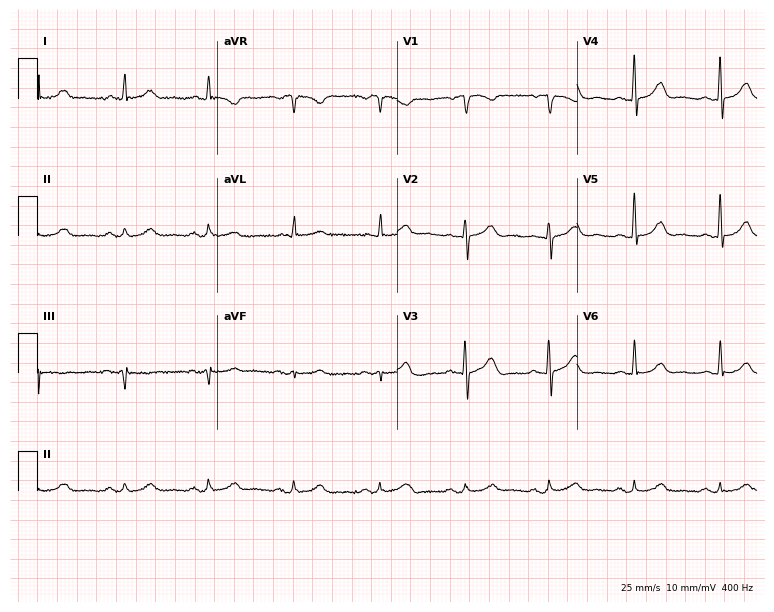
Standard 12-lead ECG recorded from a female patient, 59 years old (7.3-second recording at 400 Hz). Read as a normal ECG.